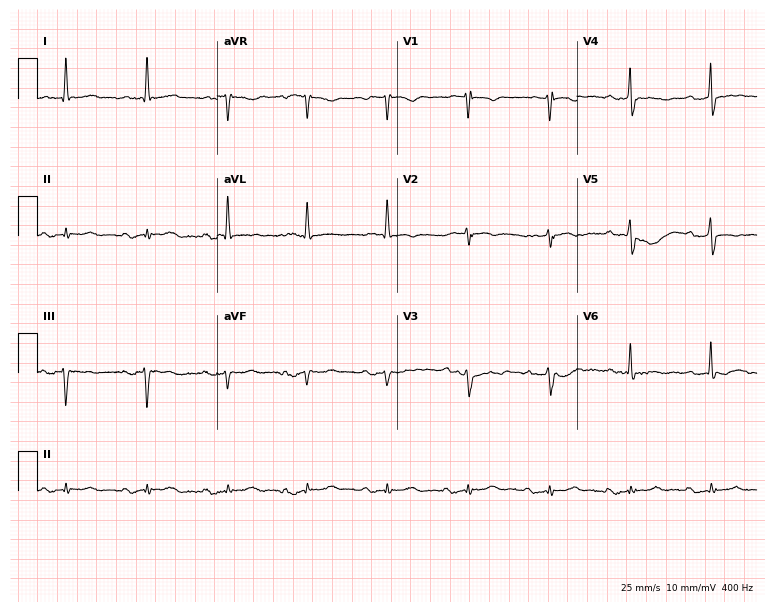
12-lead ECG from a male patient, 76 years old. No first-degree AV block, right bundle branch block, left bundle branch block, sinus bradycardia, atrial fibrillation or sinus tachycardia recorded for this tracing.